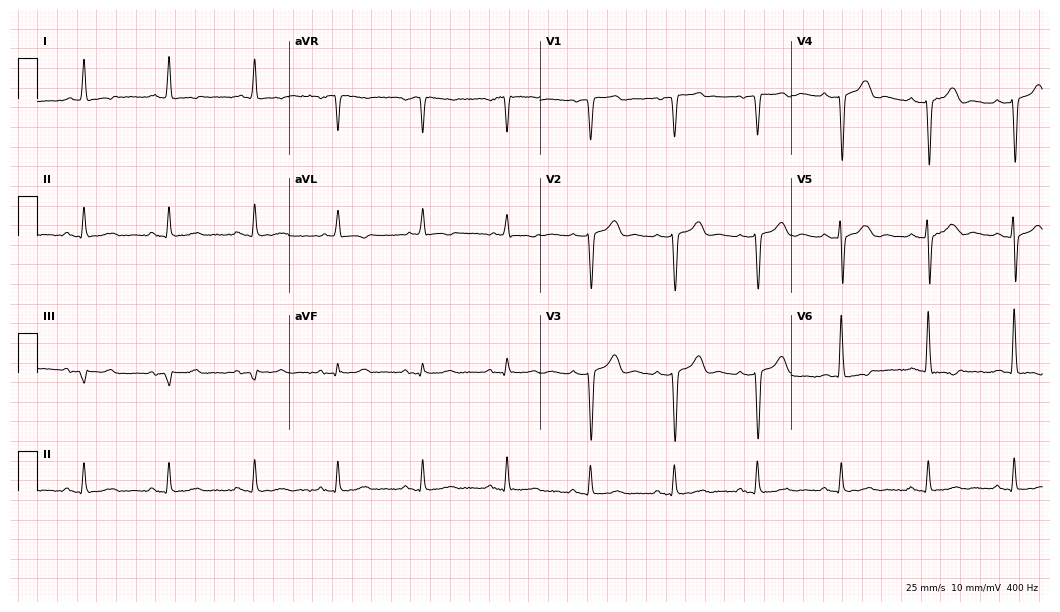
Resting 12-lead electrocardiogram (10.2-second recording at 400 Hz). Patient: a man, 75 years old. None of these six findings is recorded: first-degree AV block, right bundle branch block, left bundle branch block, sinus bradycardia, atrial fibrillation, sinus tachycardia. Other findings, if any, are not listed.